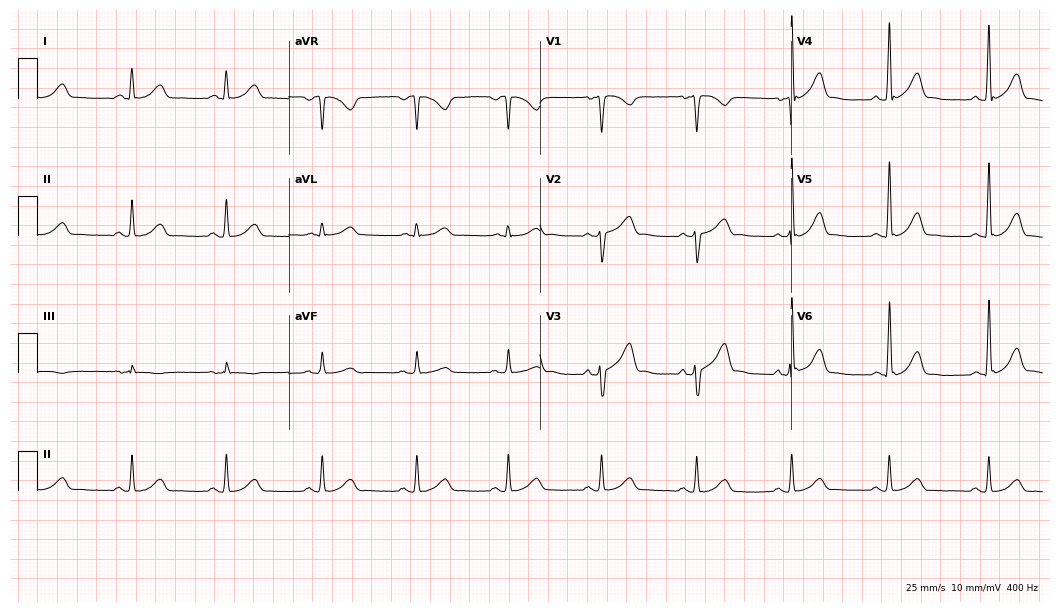
Electrocardiogram (10.2-second recording at 400 Hz), a 34-year-old male patient. Overall reading on record: normal ECG.